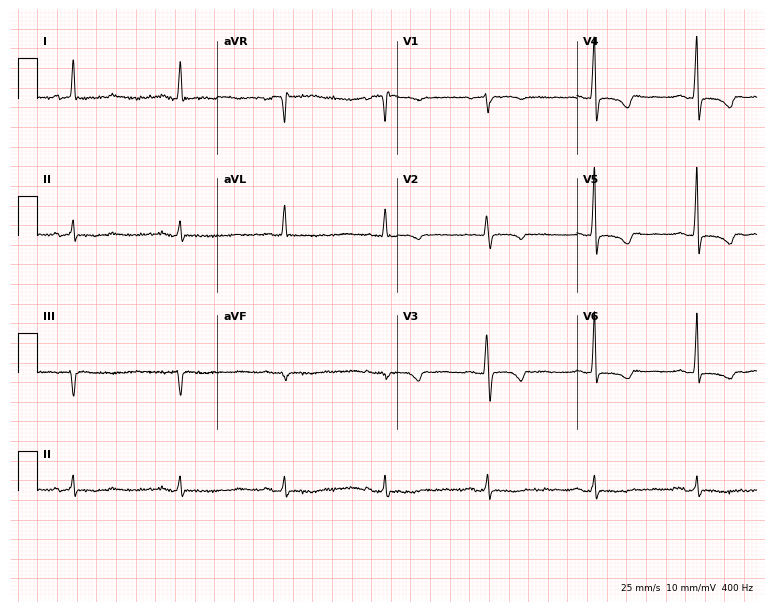
12-lead ECG from a female patient, 52 years old (7.3-second recording at 400 Hz). Recorded interpretation: within normal limits.